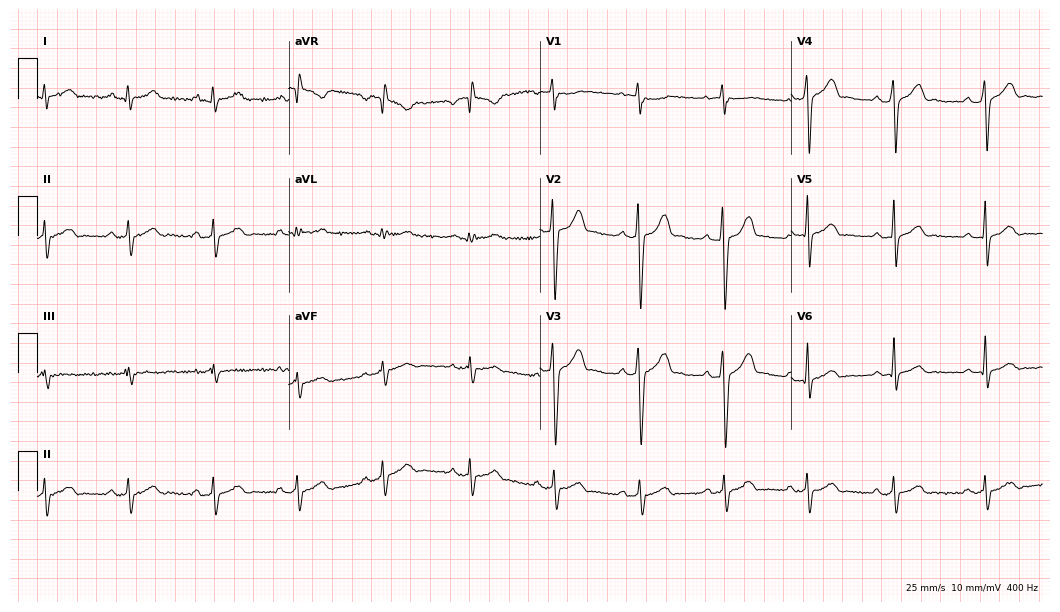
12-lead ECG from a man, 30 years old (10.2-second recording at 400 Hz). No first-degree AV block, right bundle branch block, left bundle branch block, sinus bradycardia, atrial fibrillation or sinus tachycardia recorded for this tracing. Other findings, if any, are not listed.